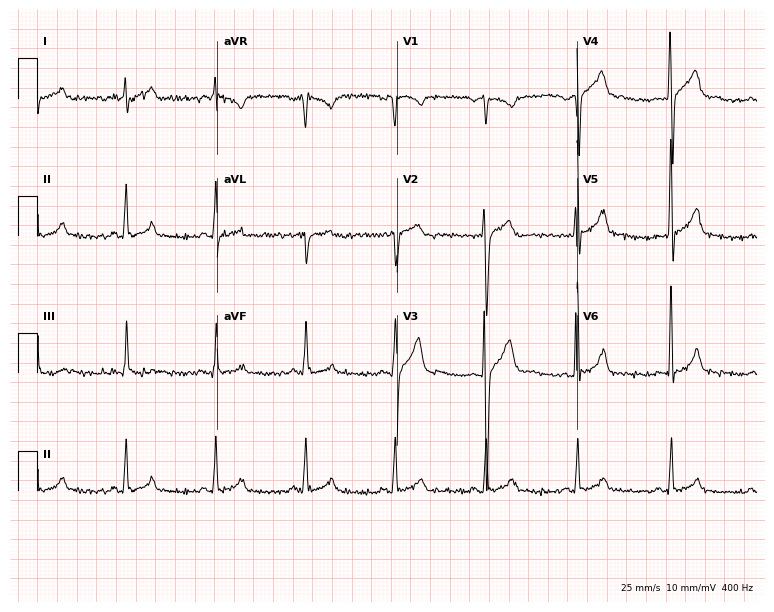
Resting 12-lead electrocardiogram (7.3-second recording at 400 Hz). Patient: a male, 38 years old. None of these six findings is recorded: first-degree AV block, right bundle branch block, left bundle branch block, sinus bradycardia, atrial fibrillation, sinus tachycardia.